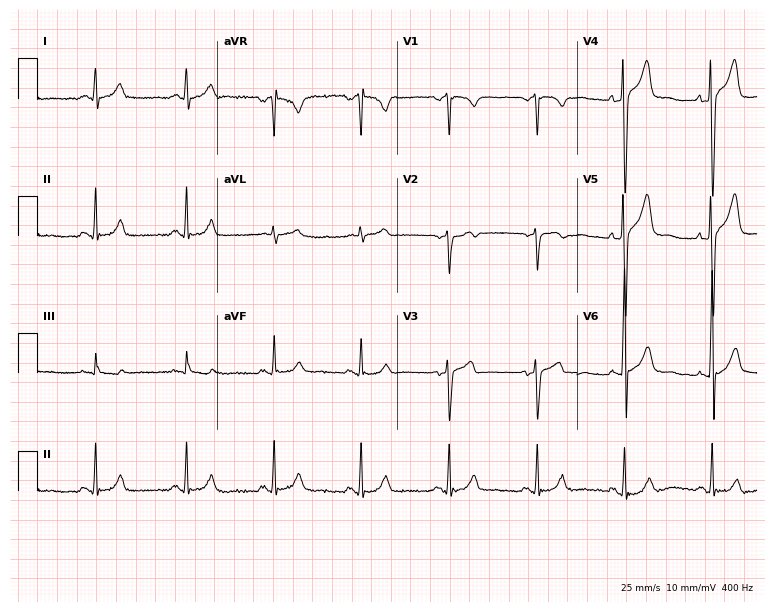
12-lead ECG from a 48-year-old male patient. Labelled as a normal ECG.